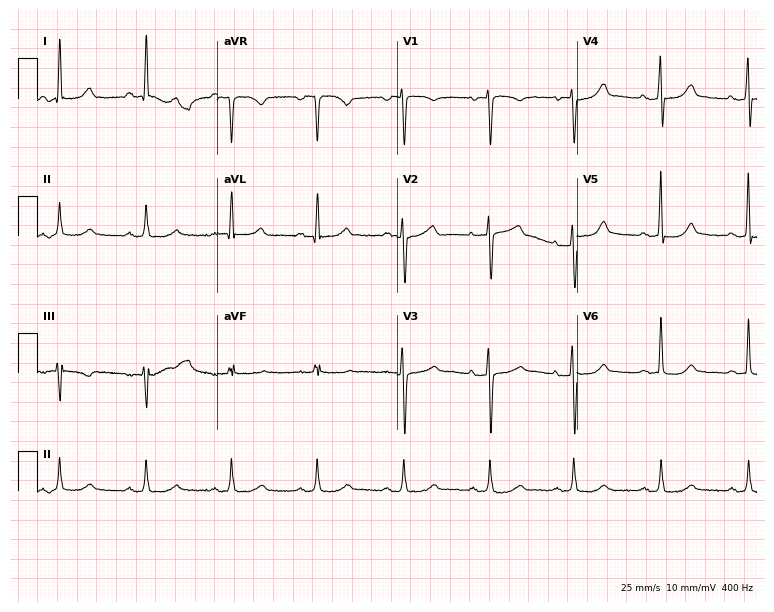
Standard 12-lead ECG recorded from a 48-year-old female patient (7.3-second recording at 400 Hz). None of these six findings is recorded: first-degree AV block, right bundle branch block (RBBB), left bundle branch block (LBBB), sinus bradycardia, atrial fibrillation (AF), sinus tachycardia. Only these six findings were labelled.